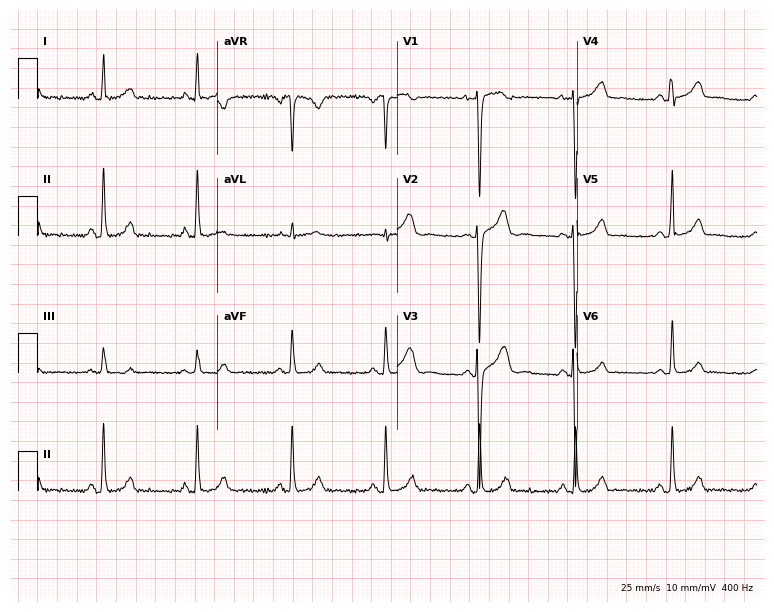
Standard 12-lead ECG recorded from a 45-year-old woman. None of these six findings is recorded: first-degree AV block, right bundle branch block, left bundle branch block, sinus bradycardia, atrial fibrillation, sinus tachycardia. Findings outside these six are not listed.